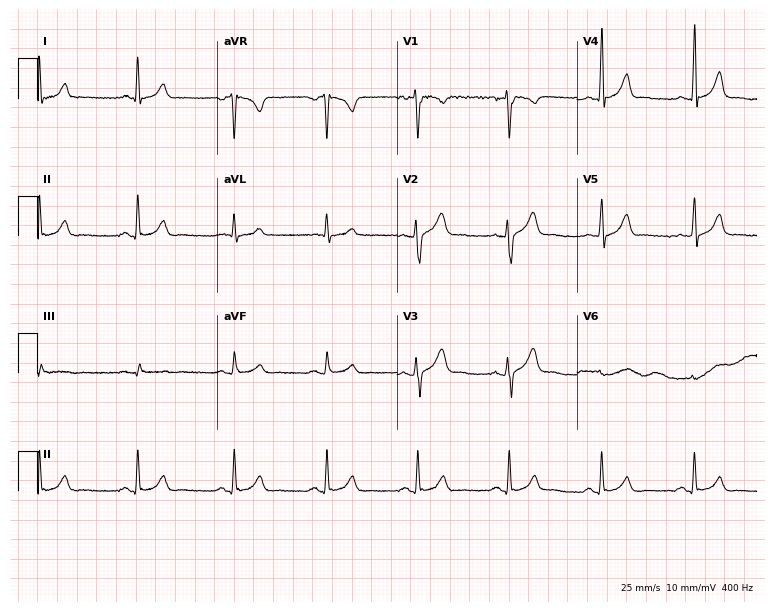
ECG — a man, 28 years old. Screened for six findings — first-degree AV block, right bundle branch block, left bundle branch block, sinus bradycardia, atrial fibrillation, sinus tachycardia — none is recorded.